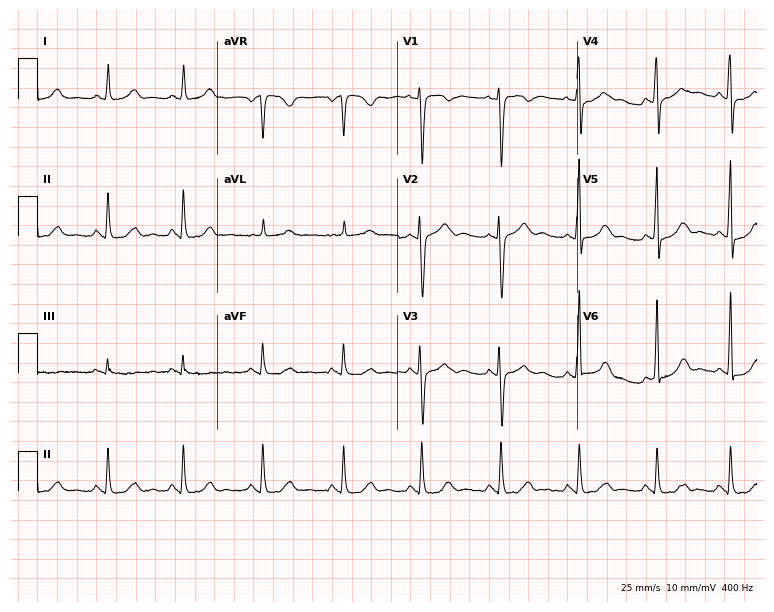
12-lead ECG from a female patient, 35 years old. No first-degree AV block, right bundle branch block, left bundle branch block, sinus bradycardia, atrial fibrillation or sinus tachycardia recorded for this tracing.